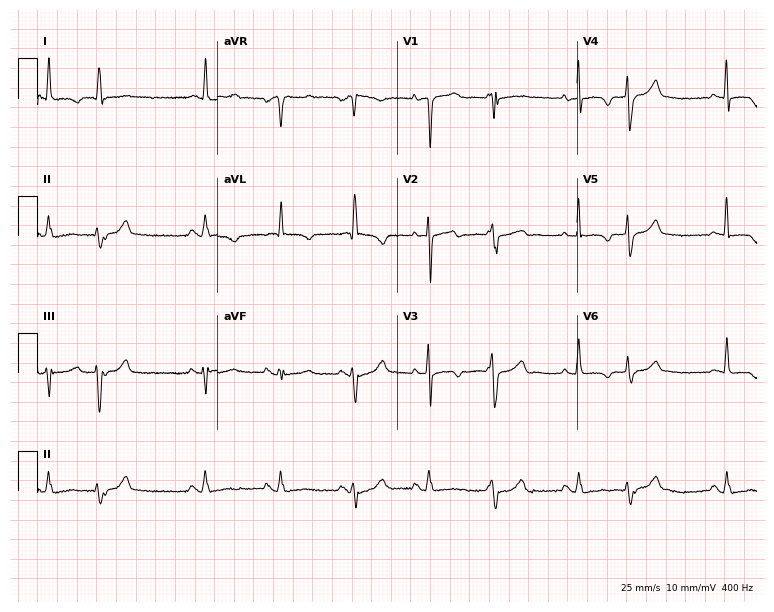
Resting 12-lead electrocardiogram (7.3-second recording at 400 Hz). Patient: a woman, 72 years old. None of these six findings is recorded: first-degree AV block, right bundle branch block, left bundle branch block, sinus bradycardia, atrial fibrillation, sinus tachycardia.